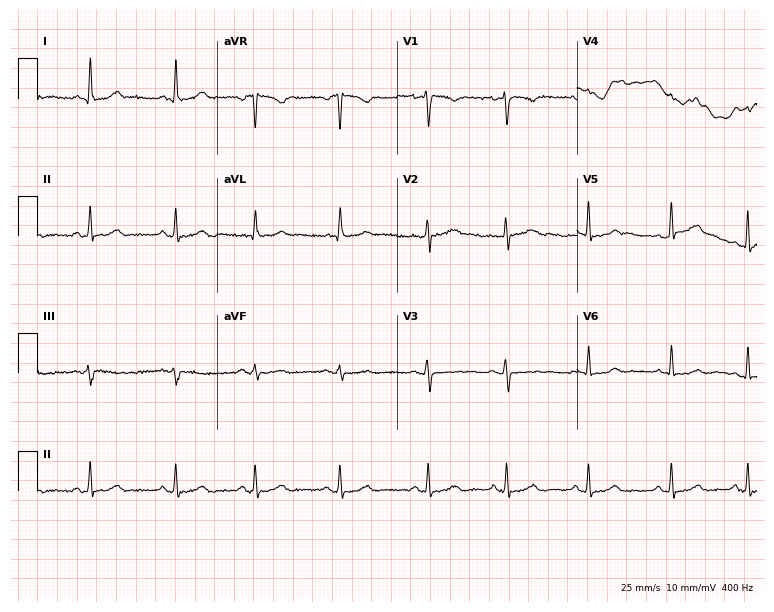
Resting 12-lead electrocardiogram. Patient: a 46-year-old female. Read as a normal ECG.